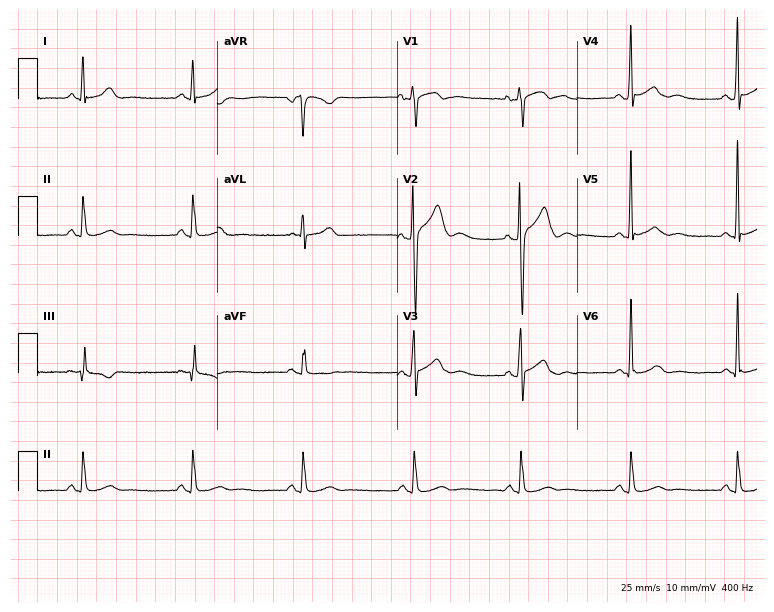
ECG (7.3-second recording at 400 Hz) — a 46-year-old man. Screened for six findings — first-degree AV block, right bundle branch block (RBBB), left bundle branch block (LBBB), sinus bradycardia, atrial fibrillation (AF), sinus tachycardia — none is recorded.